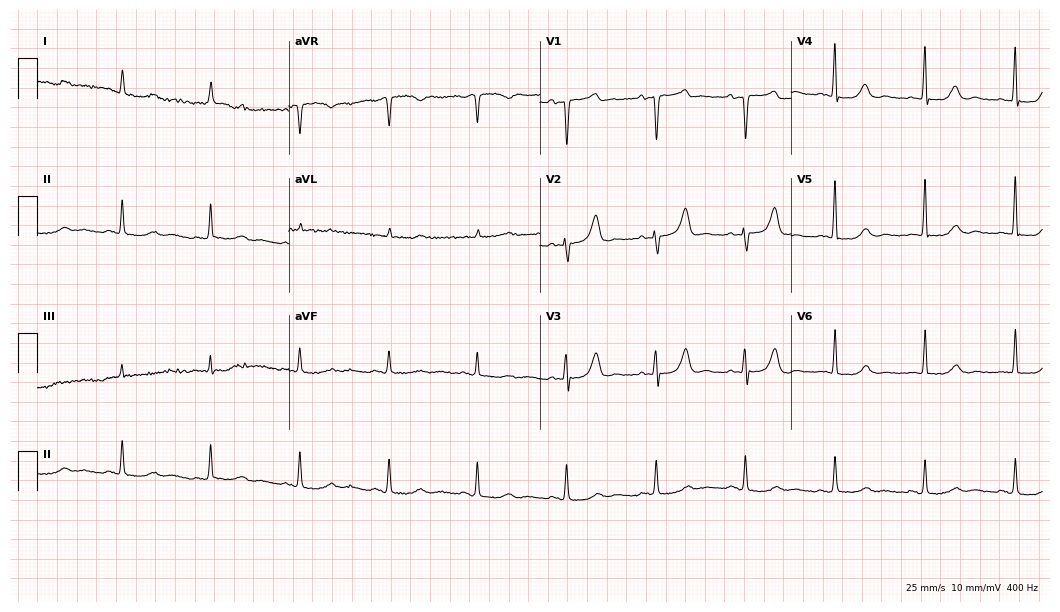
Resting 12-lead electrocardiogram. Patient: an 85-year-old male. Read as a normal ECG.